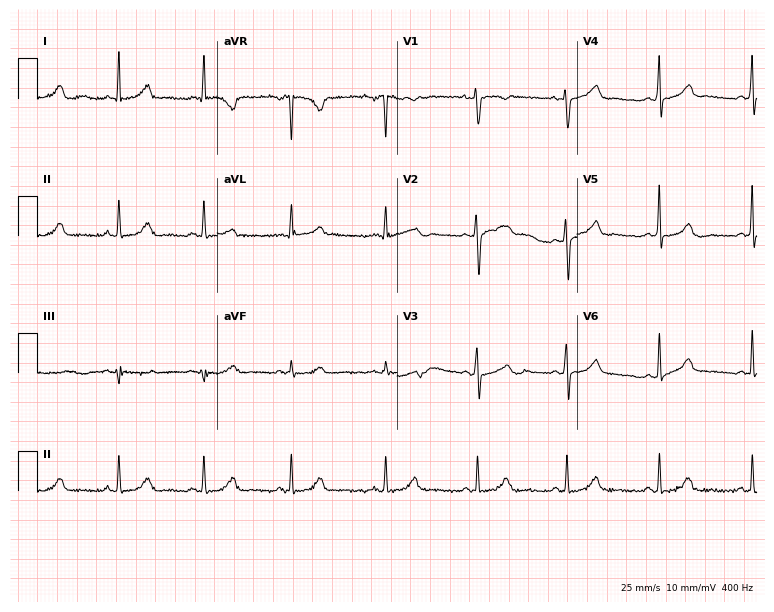
12-lead ECG (7.3-second recording at 400 Hz) from a female, 30 years old. Labelled as a normal ECG.